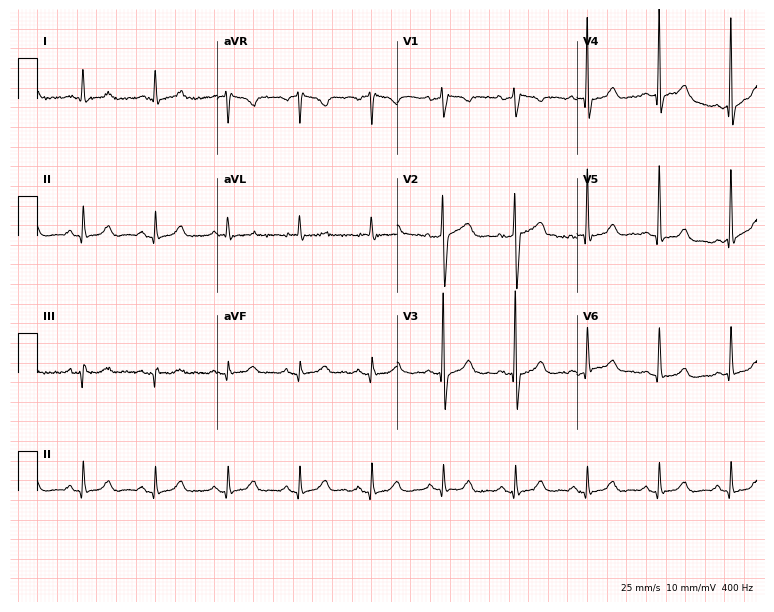
Electrocardiogram (7.3-second recording at 400 Hz), a male, 82 years old. Of the six screened findings (first-degree AV block, right bundle branch block, left bundle branch block, sinus bradycardia, atrial fibrillation, sinus tachycardia), none is recorded. Findings outside these six are not listed.